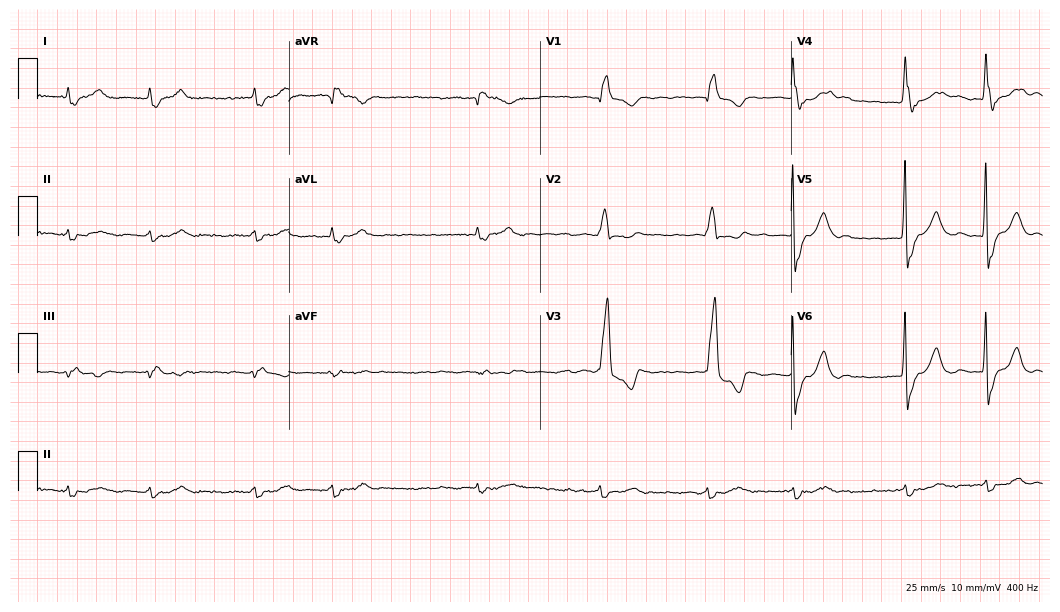
Electrocardiogram, a male, 72 years old. Interpretation includes right bundle branch block (RBBB), atrial fibrillation (AF).